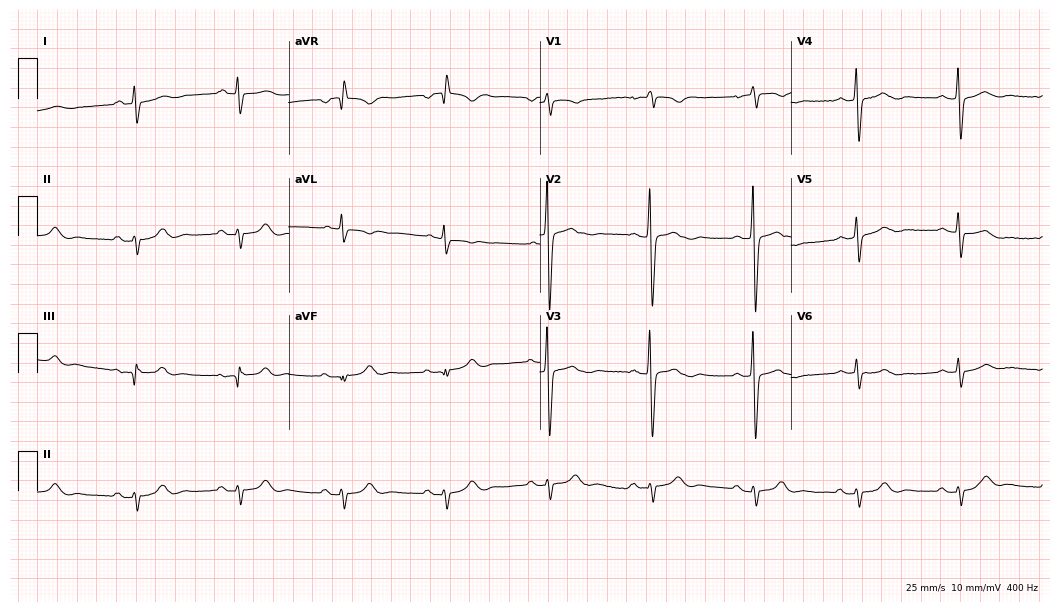
12-lead ECG from a male, 78 years old. Screened for six findings — first-degree AV block, right bundle branch block, left bundle branch block, sinus bradycardia, atrial fibrillation, sinus tachycardia — none is recorded.